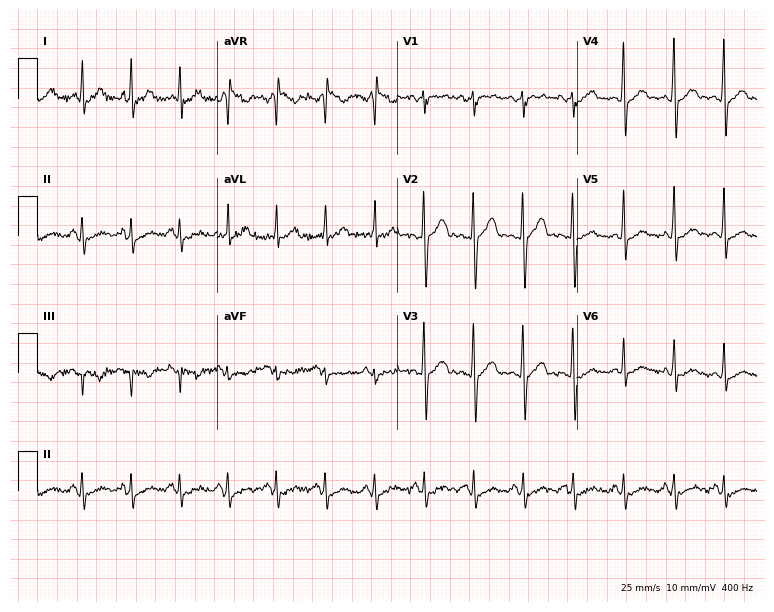
12-lead ECG from a 40-year-old man (7.3-second recording at 400 Hz). No first-degree AV block, right bundle branch block (RBBB), left bundle branch block (LBBB), sinus bradycardia, atrial fibrillation (AF) or sinus tachycardia recorded for this tracing. Other findings, if any, are not listed.